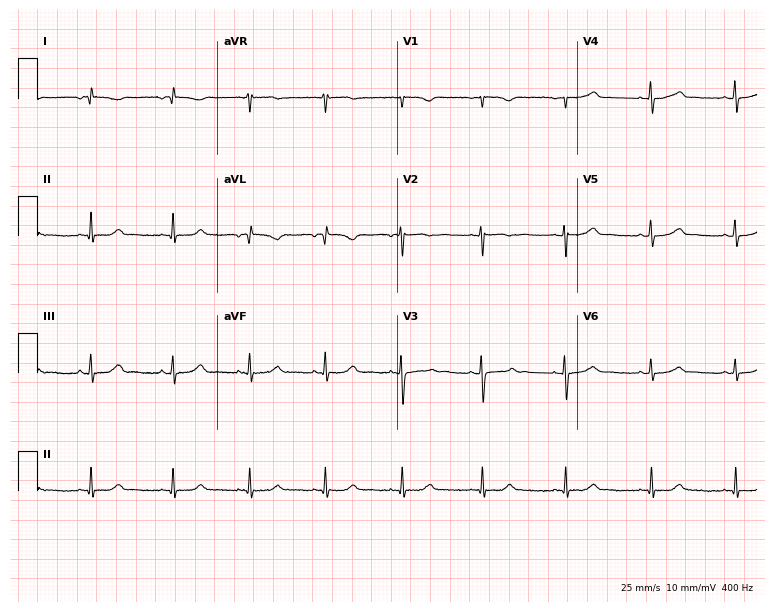
Resting 12-lead electrocardiogram (7.3-second recording at 400 Hz). Patient: a 19-year-old female. None of these six findings is recorded: first-degree AV block, right bundle branch block, left bundle branch block, sinus bradycardia, atrial fibrillation, sinus tachycardia.